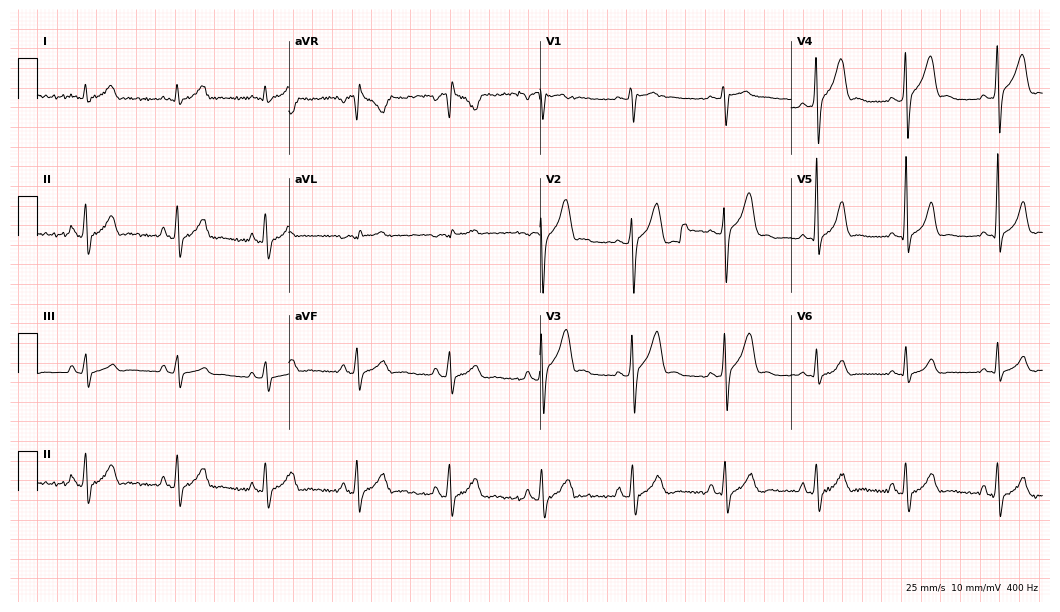
Standard 12-lead ECG recorded from a 17-year-old male patient (10.2-second recording at 400 Hz). Read as a normal ECG.